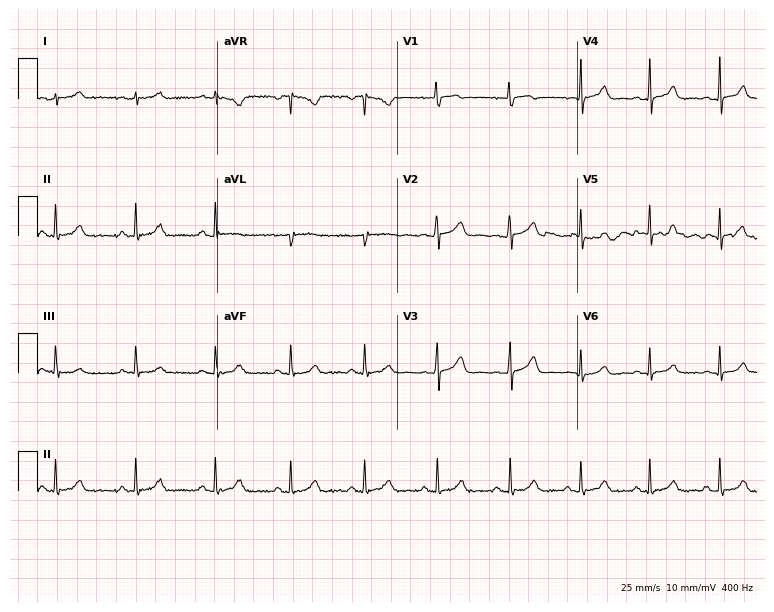
12-lead ECG from a female patient, 23 years old (7.3-second recording at 400 Hz). Recorded interpretation: within normal limits.